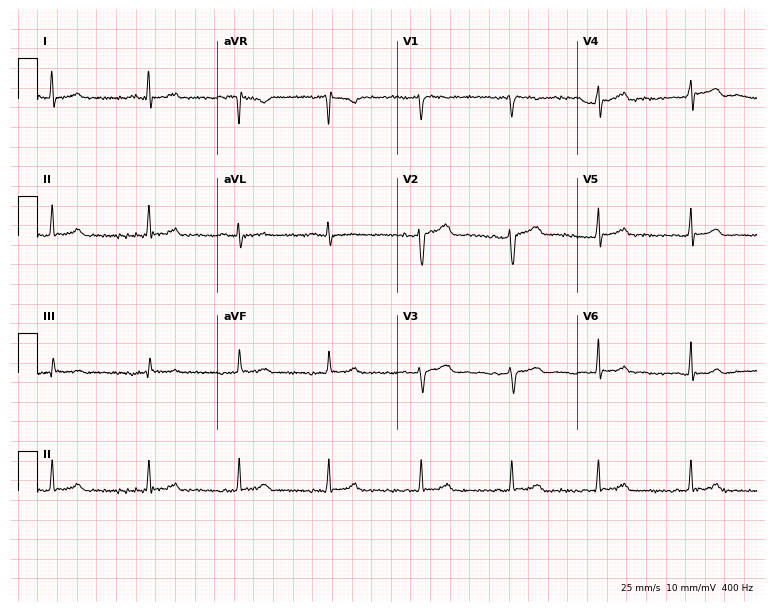
Standard 12-lead ECG recorded from a 27-year-old female (7.3-second recording at 400 Hz). Read as a normal ECG.